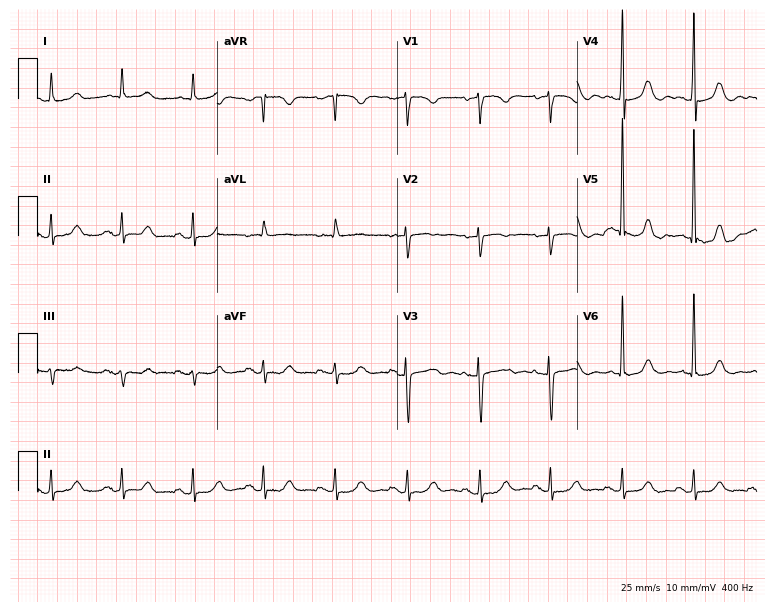
ECG — a female, 73 years old. Screened for six findings — first-degree AV block, right bundle branch block, left bundle branch block, sinus bradycardia, atrial fibrillation, sinus tachycardia — none is recorded.